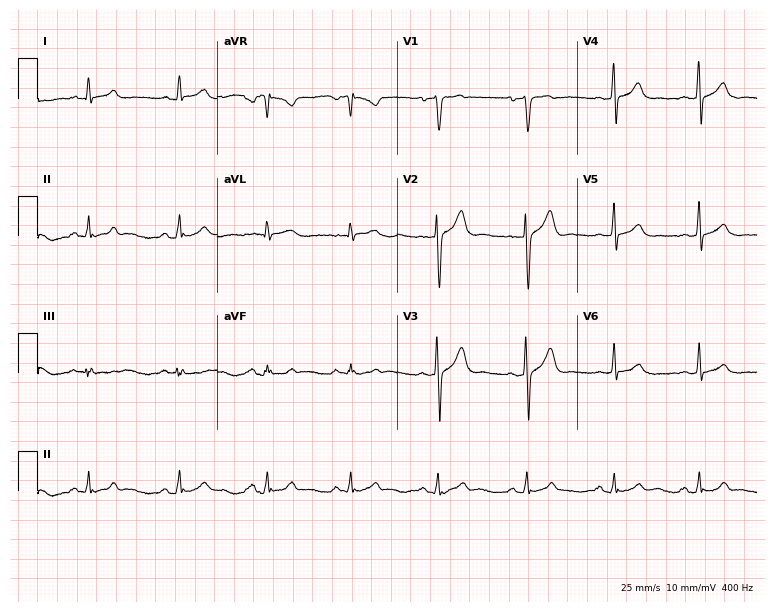
Standard 12-lead ECG recorded from a male, 46 years old (7.3-second recording at 400 Hz). Read as a normal ECG.